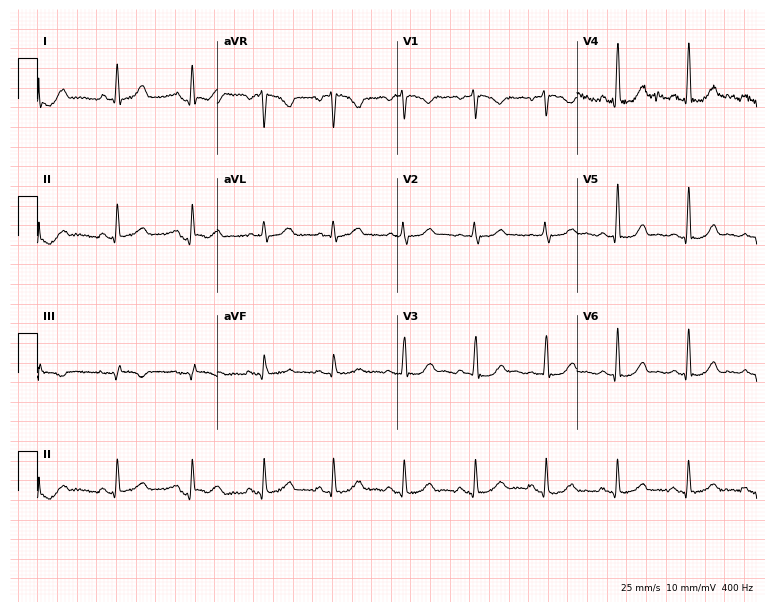
12-lead ECG (7.3-second recording at 400 Hz) from a female, 41 years old. Screened for six findings — first-degree AV block, right bundle branch block (RBBB), left bundle branch block (LBBB), sinus bradycardia, atrial fibrillation (AF), sinus tachycardia — none is recorded. Other findings, if any, are not listed.